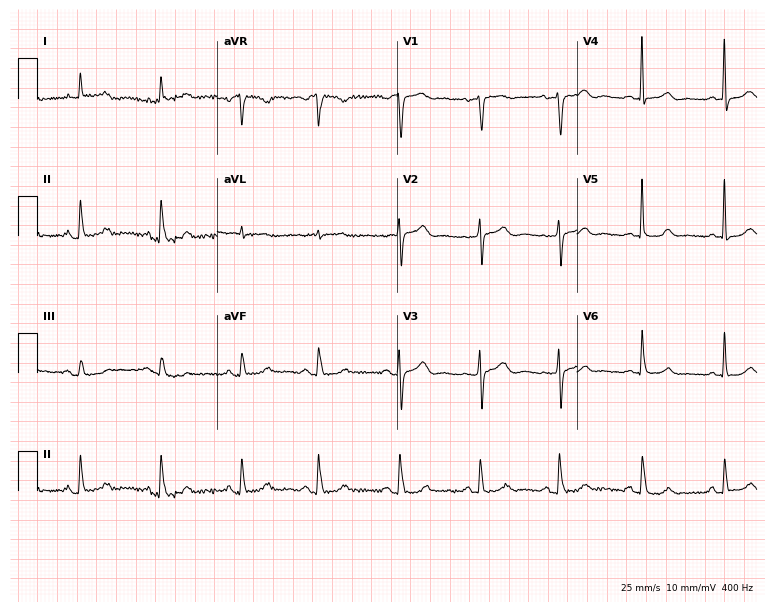
Electrocardiogram, a female patient, 78 years old. Overall reading on record: normal ECG.